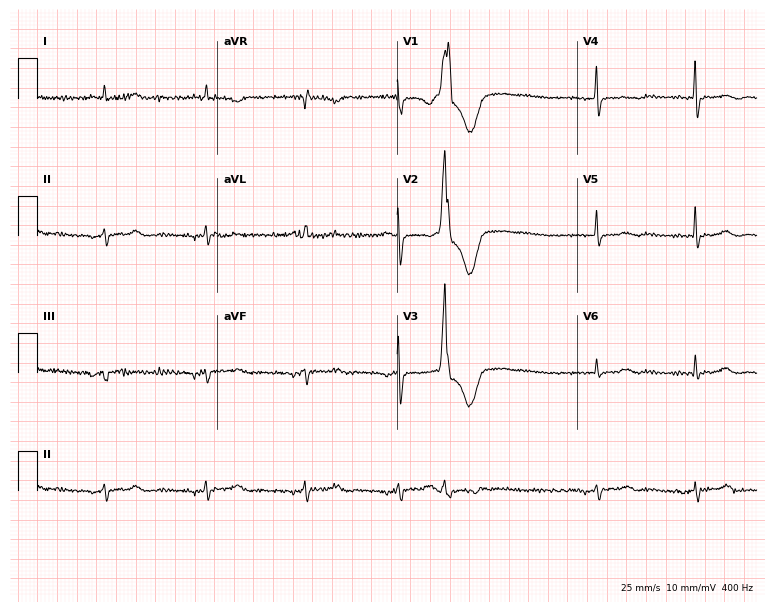
12-lead ECG from a 73-year-old female. Screened for six findings — first-degree AV block, right bundle branch block (RBBB), left bundle branch block (LBBB), sinus bradycardia, atrial fibrillation (AF), sinus tachycardia — none is recorded.